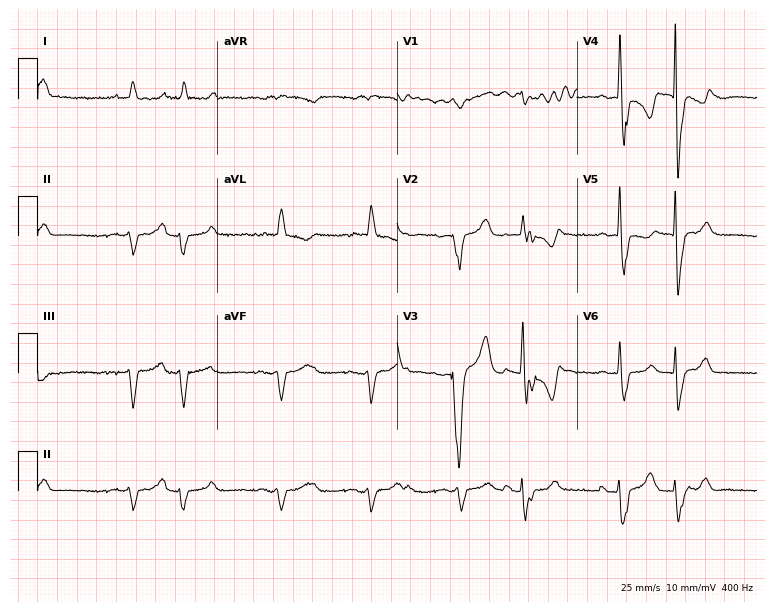
ECG — a man, 76 years old. Screened for six findings — first-degree AV block, right bundle branch block (RBBB), left bundle branch block (LBBB), sinus bradycardia, atrial fibrillation (AF), sinus tachycardia — none is recorded. Only these six findings were labelled.